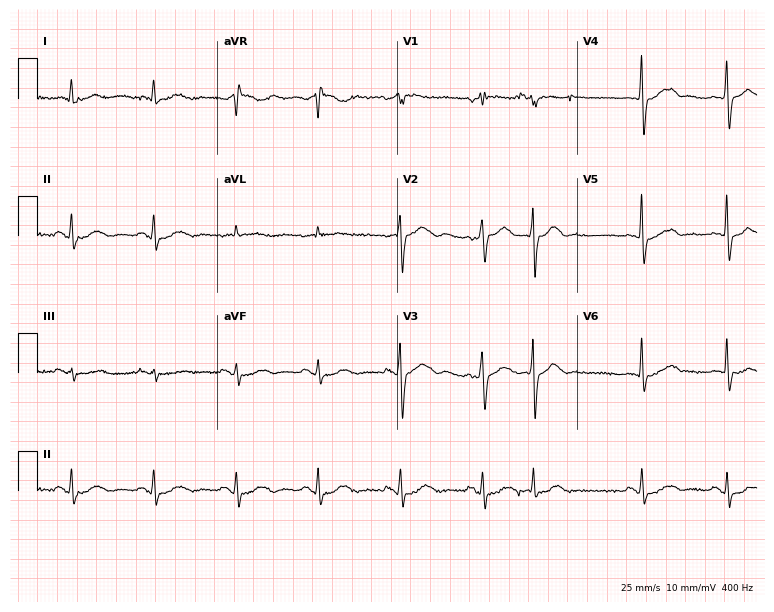
Resting 12-lead electrocardiogram. Patient: a female, 67 years old. None of these six findings is recorded: first-degree AV block, right bundle branch block, left bundle branch block, sinus bradycardia, atrial fibrillation, sinus tachycardia. Findings outside these six are not listed.